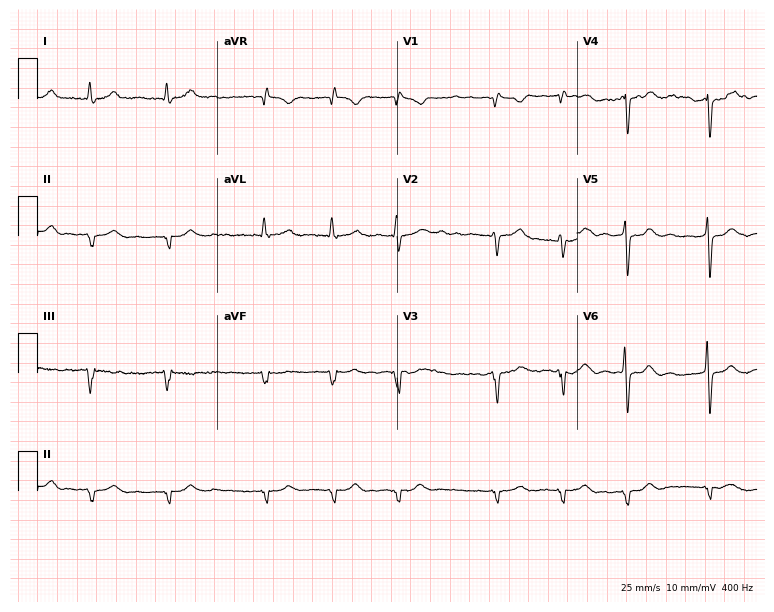
12-lead ECG from a 77-year-old male (7.3-second recording at 400 Hz). Shows atrial fibrillation.